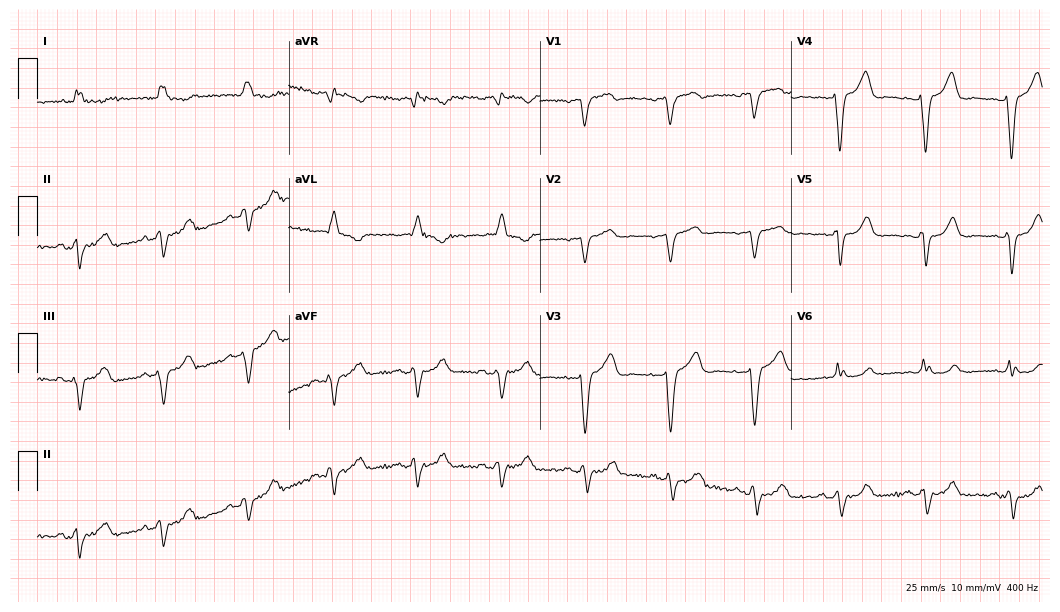
Resting 12-lead electrocardiogram (10.2-second recording at 400 Hz). Patient: a woman, 81 years old. None of these six findings is recorded: first-degree AV block, right bundle branch block (RBBB), left bundle branch block (LBBB), sinus bradycardia, atrial fibrillation (AF), sinus tachycardia.